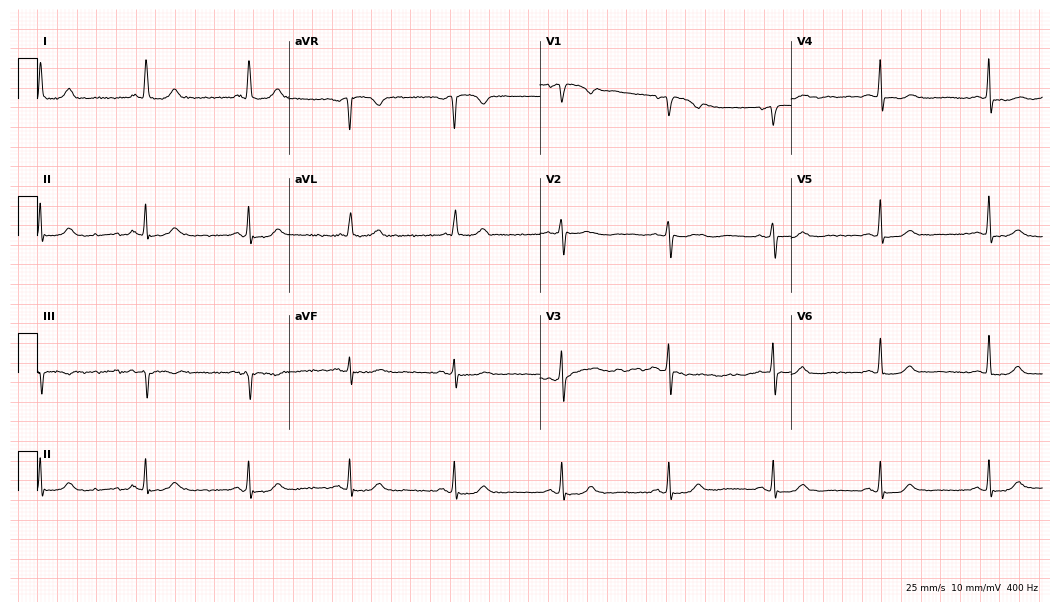
ECG (10.2-second recording at 400 Hz) — a woman, 65 years old. Screened for six findings — first-degree AV block, right bundle branch block (RBBB), left bundle branch block (LBBB), sinus bradycardia, atrial fibrillation (AF), sinus tachycardia — none is recorded. Only these six findings were labelled.